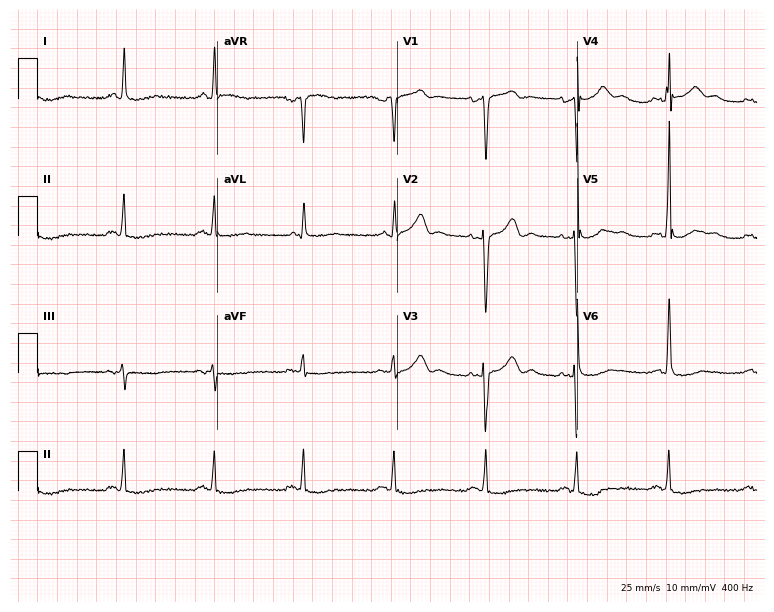
Resting 12-lead electrocardiogram. Patient: a 57-year-old female. None of these six findings is recorded: first-degree AV block, right bundle branch block, left bundle branch block, sinus bradycardia, atrial fibrillation, sinus tachycardia.